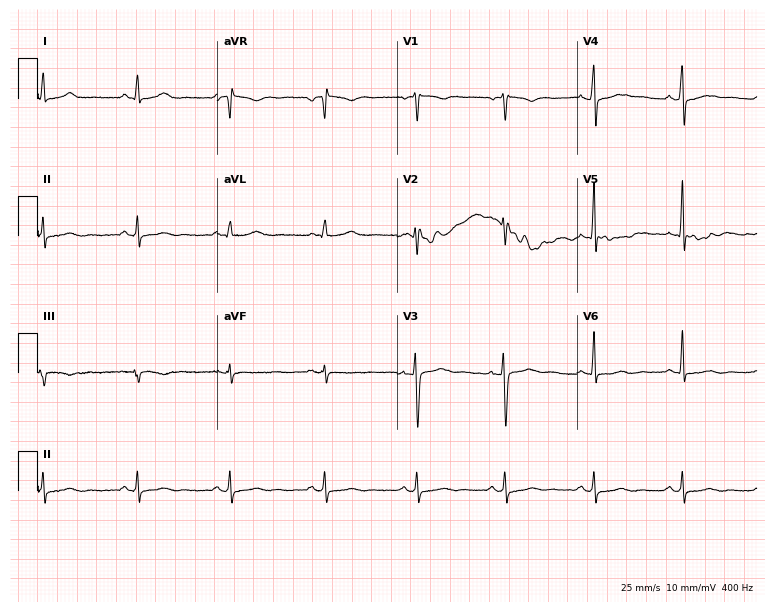
Resting 12-lead electrocardiogram (7.3-second recording at 400 Hz). Patient: a 45-year-old woman. None of these six findings is recorded: first-degree AV block, right bundle branch block (RBBB), left bundle branch block (LBBB), sinus bradycardia, atrial fibrillation (AF), sinus tachycardia.